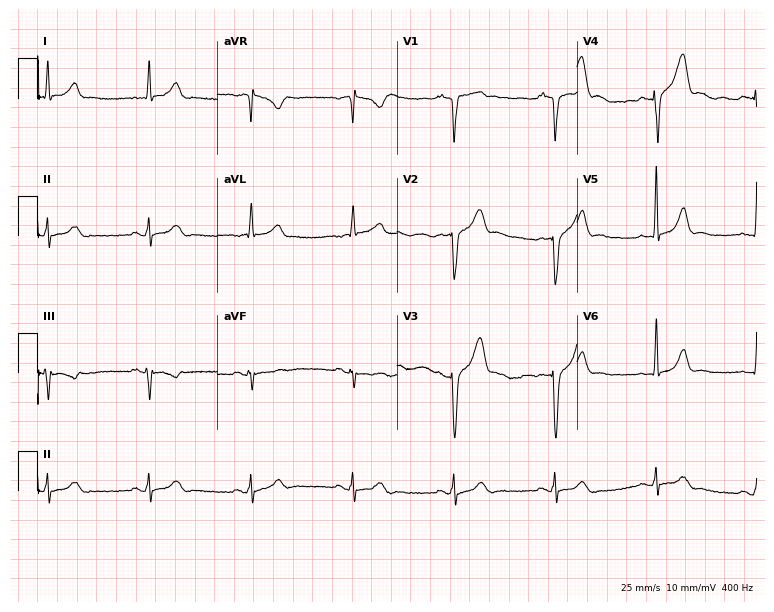
12-lead ECG from a male patient, 37 years old. No first-degree AV block, right bundle branch block, left bundle branch block, sinus bradycardia, atrial fibrillation or sinus tachycardia recorded for this tracing.